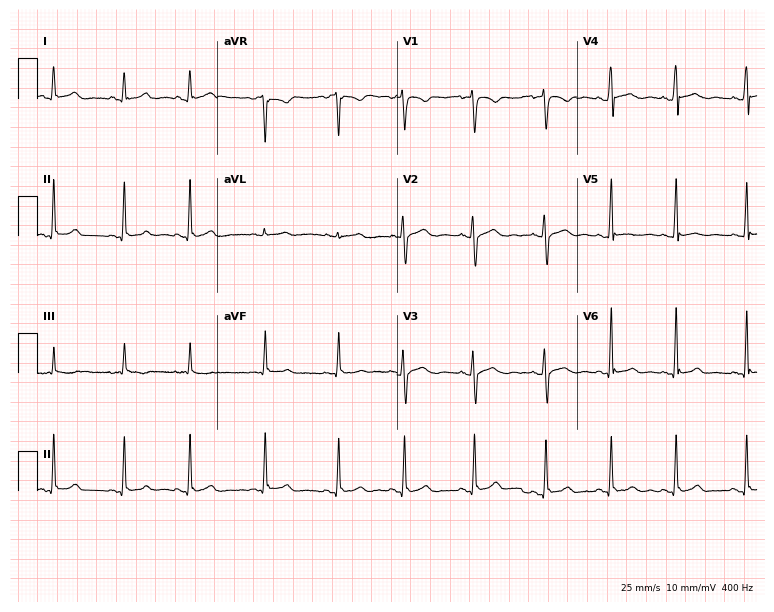
Electrocardiogram, a woman, 20 years old. Overall reading on record: normal ECG.